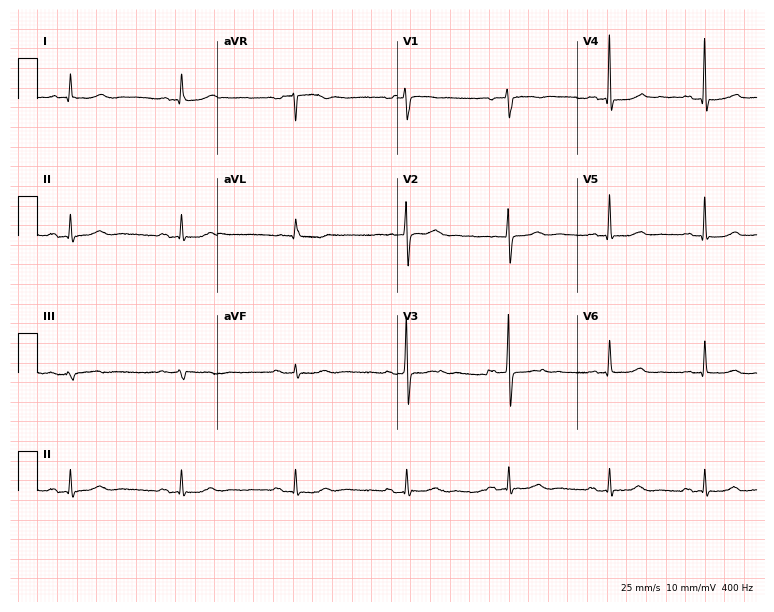
Electrocardiogram (7.3-second recording at 400 Hz), a female, 74 years old. Of the six screened findings (first-degree AV block, right bundle branch block (RBBB), left bundle branch block (LBBB), sinus bradycardia, atrial fibrillation (AF), sinus tachycardia), none is recorded.